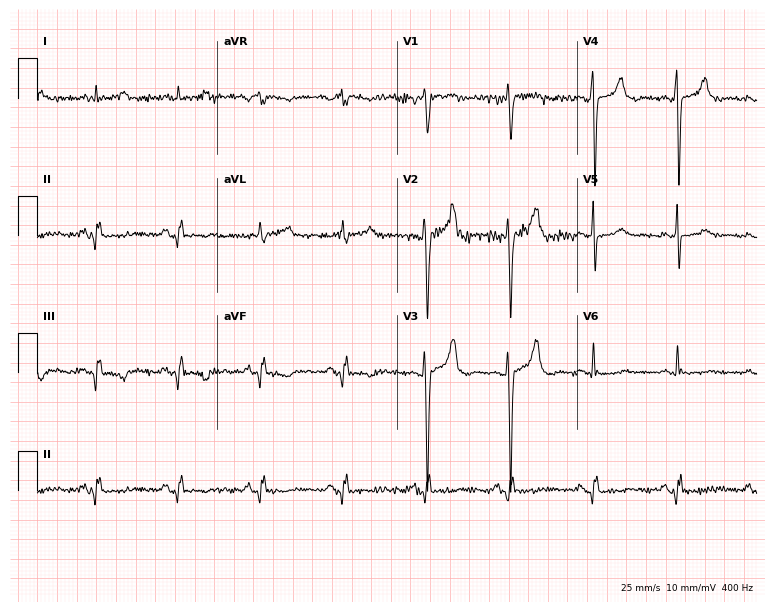
12-lead ECG (7.3-second recording at 400 Hz) from an 80-year-old man. Screened for six findings — first-degree AV block, right bundle branch block, left bundle branch block, sinus bradycardia, atrial fibrillation, sinus tachycardia — none is recorded. Only these six findings were labelled.